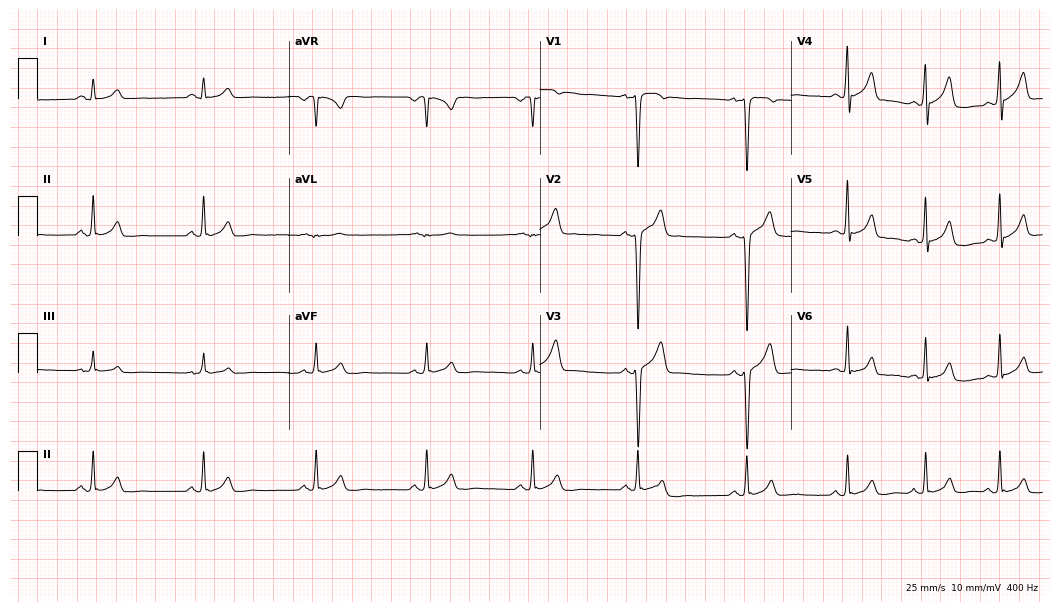
Resting 12-lead electrocardiogram (10.2-second recording at 400 Hz). Patient: a man, 22 years old. Read as a normal ECG.